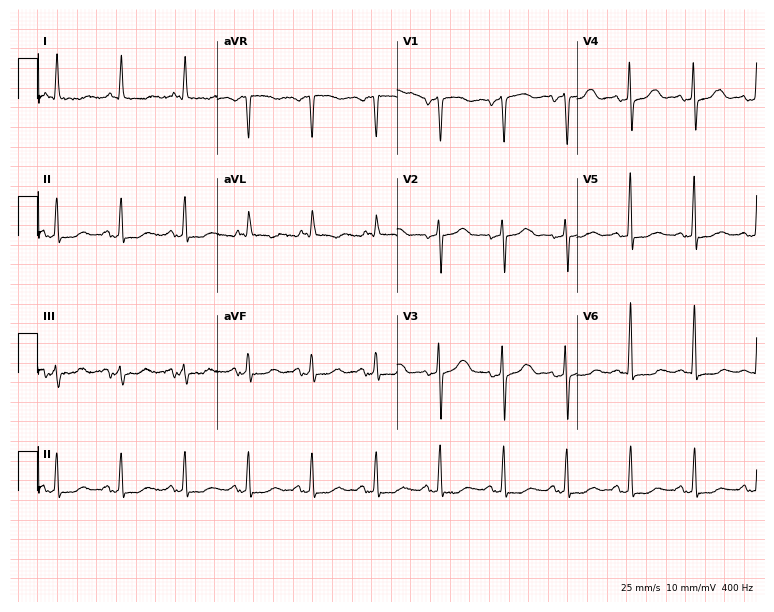
12-lead ECG from a female, 83 years old. Screened for six findings — first-degree AV block, right bundle branch block (RBBB), left bundle branch block (LBBB), sinus bradycardia, atrial fibrillation (AF), sinus tachycardia — none is recorded. Only these six findings were labelled.